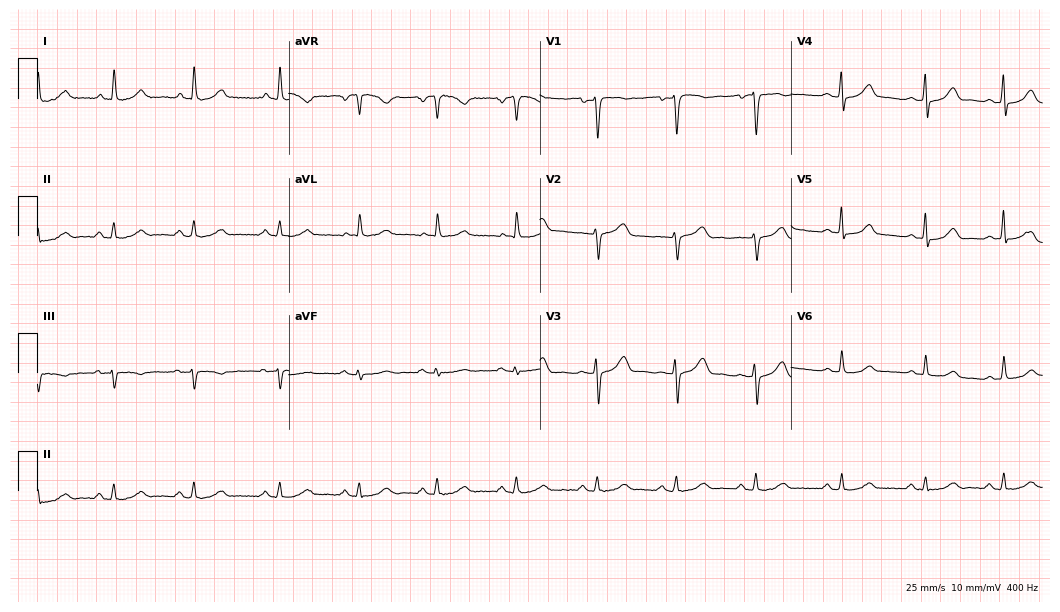
Resting 12-lead electrocardiogram (10.2-second recording at 400 Hz). Patient: a woman, 25 years old. Read as a normal ECG.